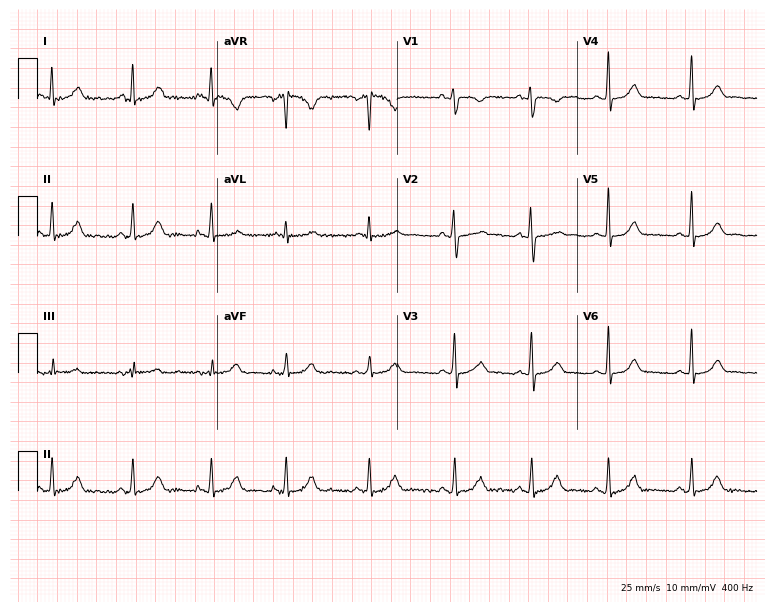
12-lead ECG (7.3-second recording at 400 Hz) from a female patient, 29 years old. Screened for six findings — first-degree AV block, right bundle branch block, left bundle branch block, sinus bradycardia, atrial fibrillation, sinus tachycardia — none is recorded.